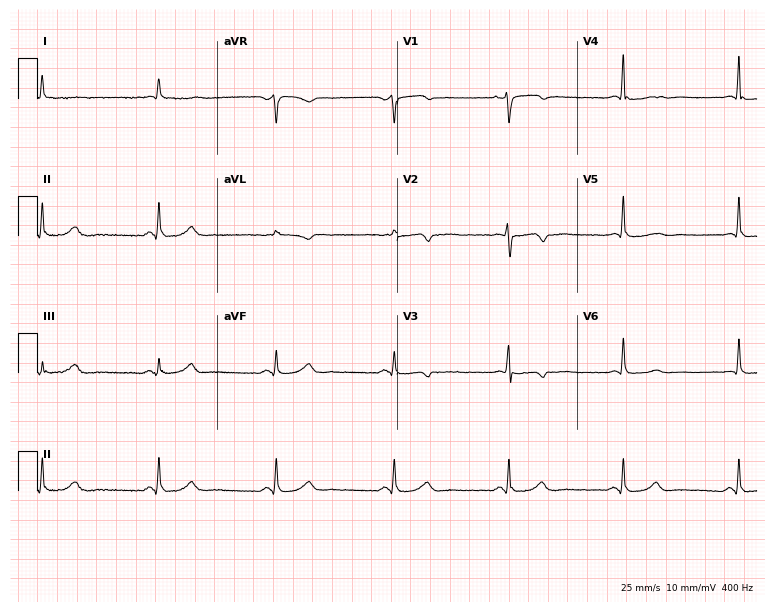
Standard 12-lead ECG recorded from a 76-year-old female patient (7.3-second recording at 400 Hz). None of these six findings is recorded: first-degree AV block, right bundle branch block, left bundle branch block, sinus bradycardia, atrial fibrillation, sinus tachycardia. Other findings, if any, are not listed.